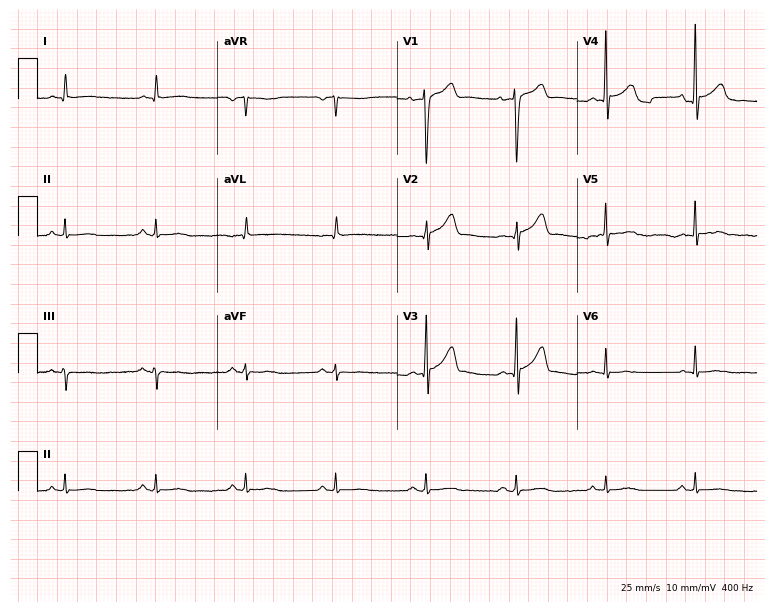
Standard 12-lead ECG recorded from a 50-year-old male (7.3-second recording at 400 Hz). None of these six findings is recorded: first-degree AV block, right bundle branch block, left bundle branch block, sinus bradycardia, atrial fibrillation, sinus tachycardia. Other findings, if any, are not listed.